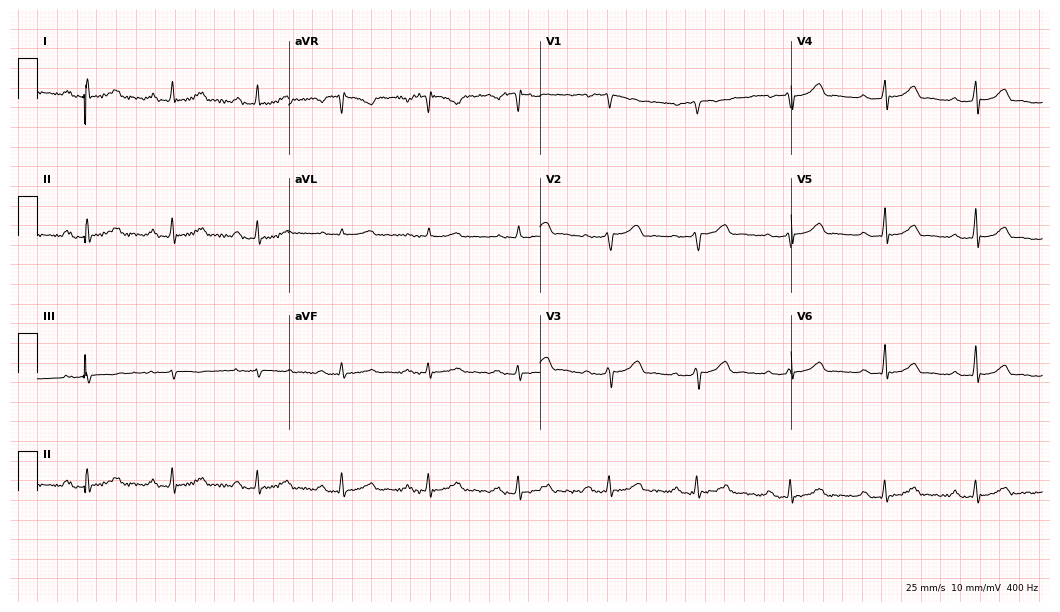
Electrocardiogram (10.2-second recording at 400 Hz), a woman, 43 years old. Overall reading on record: normal ECG.